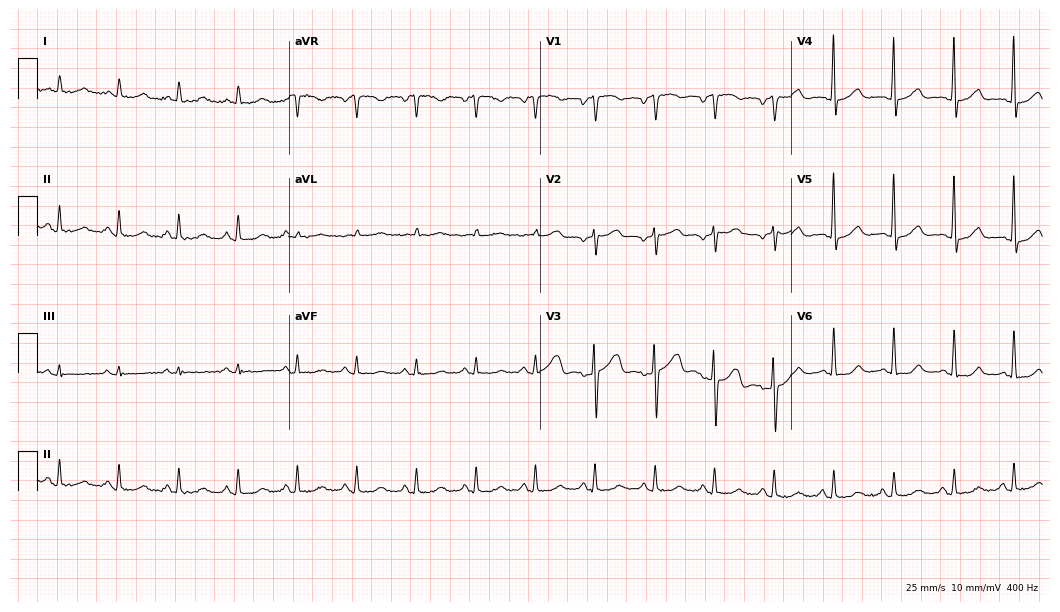
12-lead ECG from an 81-year-old female. Labelled as a normal ECG.